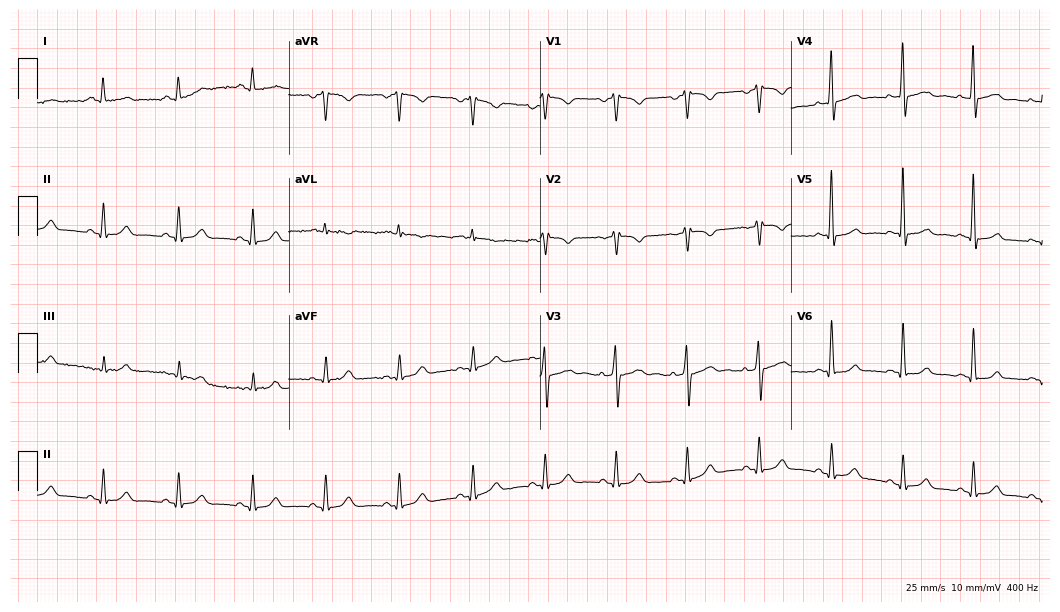
12-lead ECG from a male patient, 52 years old (10.2-second recording at 400 Hz). No first-degree AV block, right bundle branch block, left bundle branch block, sinus bradycardia, atrial fibrillation or sinus tachycardia recorded for this tracing. Only these six findings were labelled.